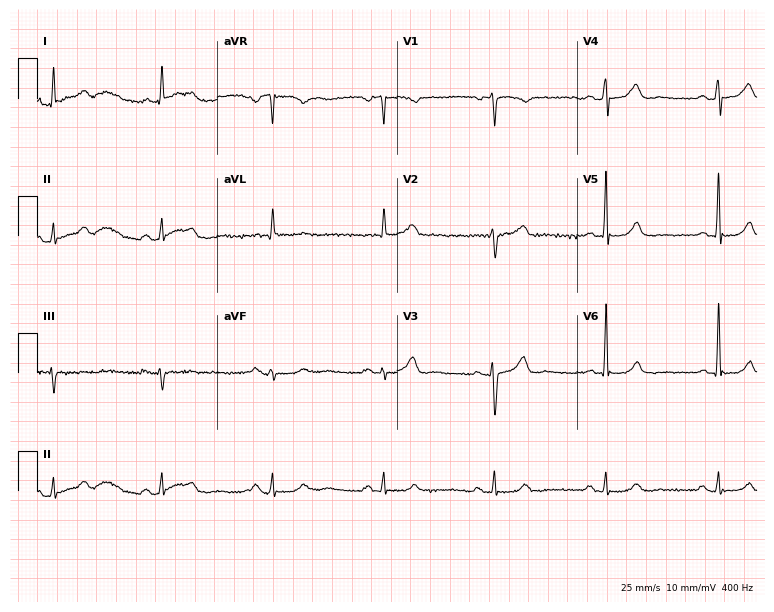
Standard 12-lead ECG recorded from a male patient, 79 years old (7.3-second recording at 400 Hz). Read as a normal ECG.